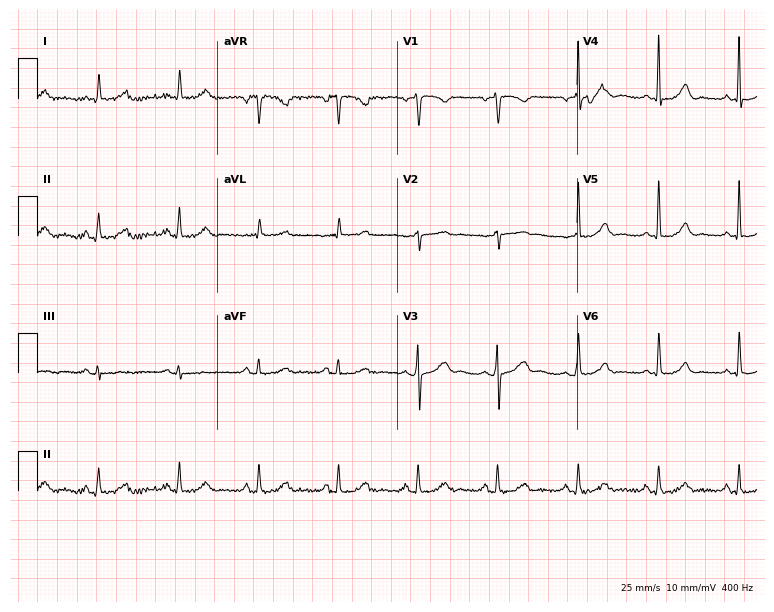
Electrocardiogram, a male, 75 years old. Overall reading on record: normal ECG.